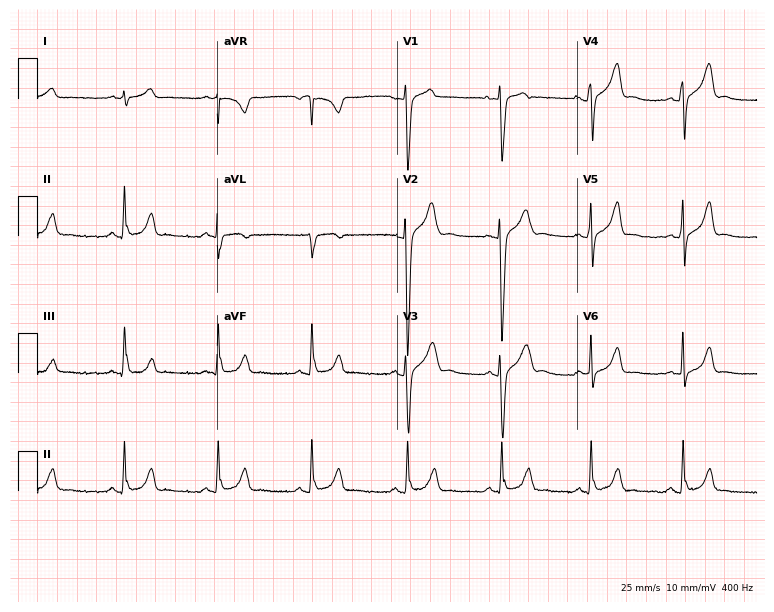
Resting 12-lead electrocardiogram. Patient: a man, 22 years old. Read as a normal ECG.